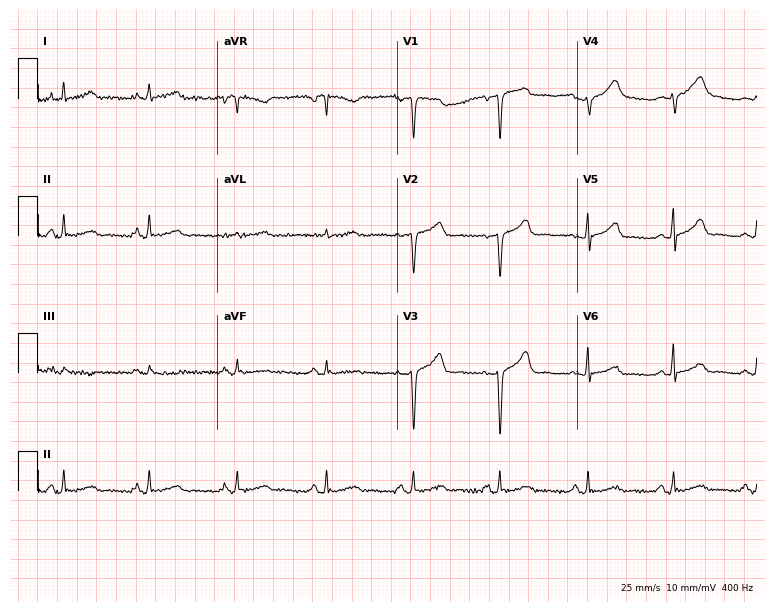
Standard 12-lead ECG recorded from a woman, 54 years old. None of these six findings is recorded: first-degree AV block, right bundle branch block (RBBB), left bundle branch block (LBBB), sinus bradycardia, atrial fibrillation (AF), sinus tachycardia. Findings outside these six are not listed.